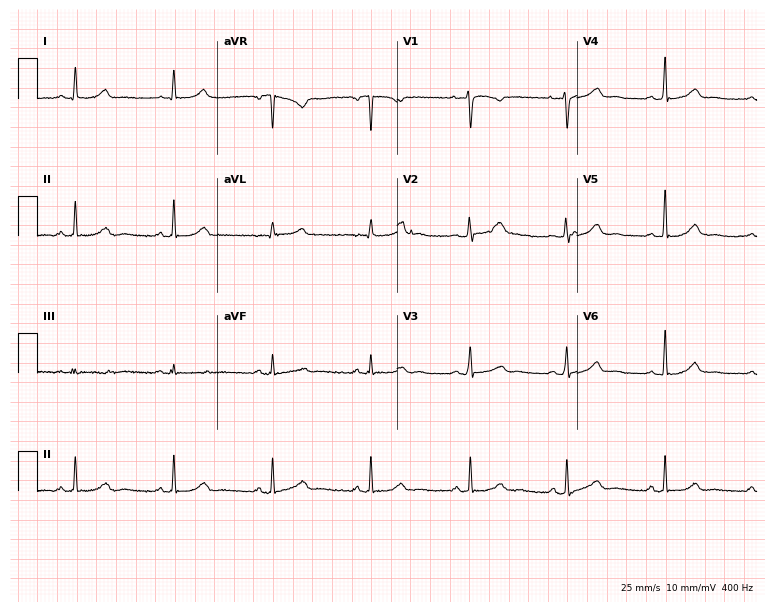
12-lead ECG (7.3-second recording at 400 Hz) from a 42-year-old woman. Screened for six findings — first-degree AV block, right bundle branch block, left bundle branch block, sinus bradycardia, atrial fibrillation, sinus tachycardia — none is recorded. Other findings, if any, are not listed.